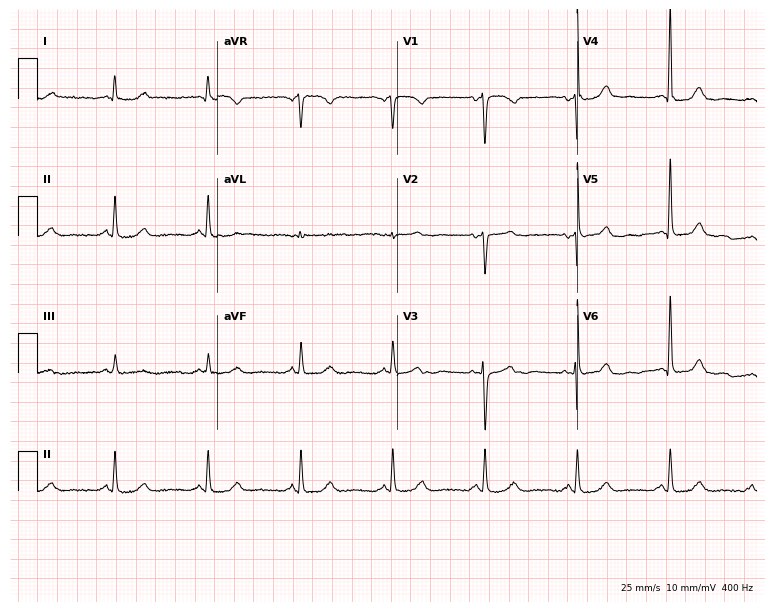
ECG — a 53-year-old female patient. Labelled as a normal ECG.